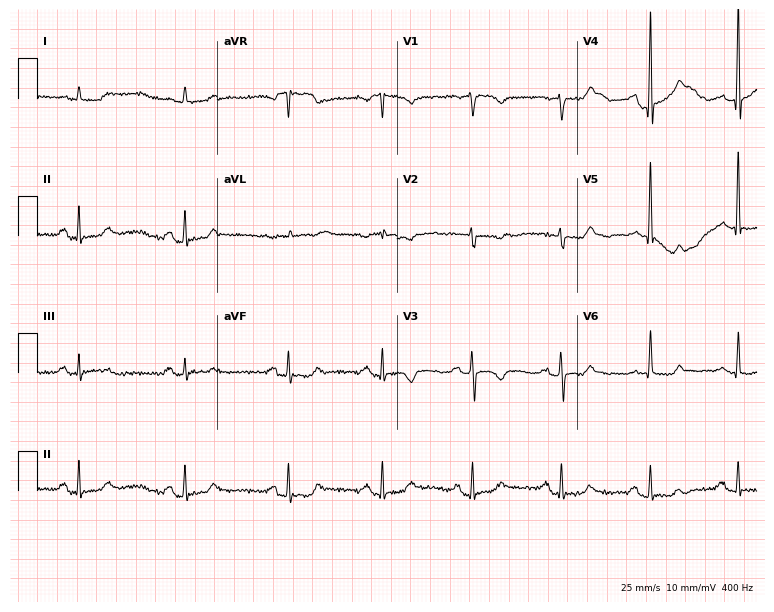
Electrocardiogram (7.3-second recording at 400 Hz), a 74-year-old woman. Of the six screened findings (first-degree AV block, right bundle branch block (RBBB), left bundle branch block (LBBB), sinus bradycardia, atrial fibrillation (AF), sinus tachycardia), none is recorded.